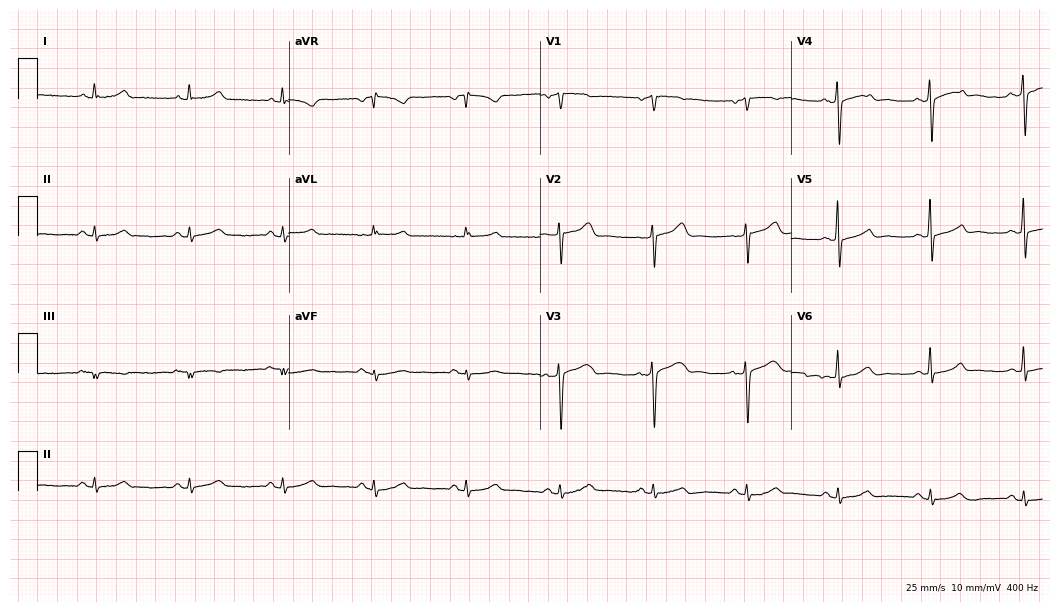
ECG — a woman, 65 years old. Labelled as a normal ECG.